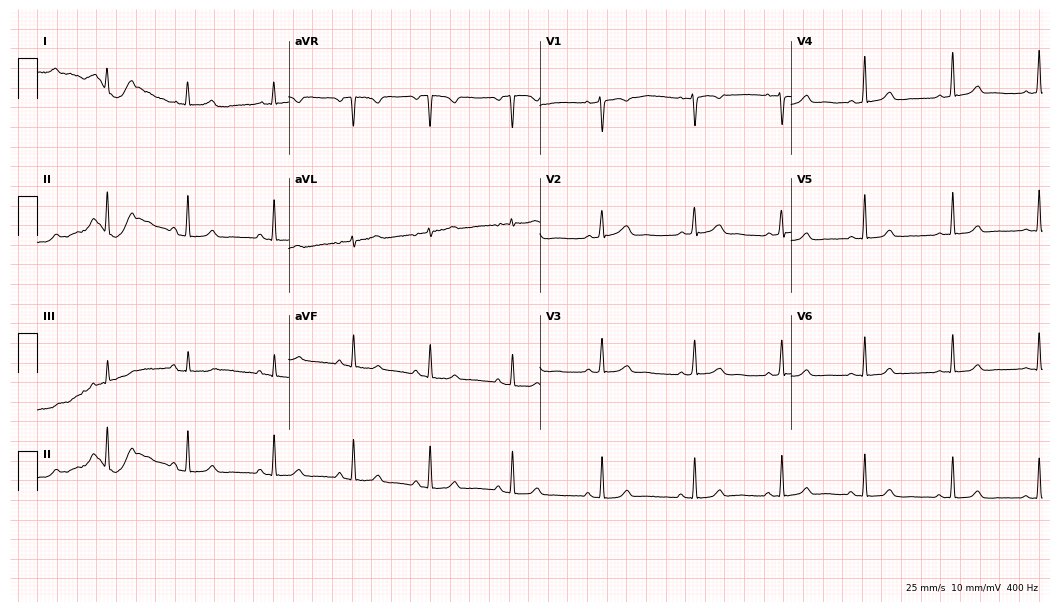
Electrocardiogram (10.2-second recording at 400 Hz), a female, 36 years old. Overall reading on record: normal ECG.